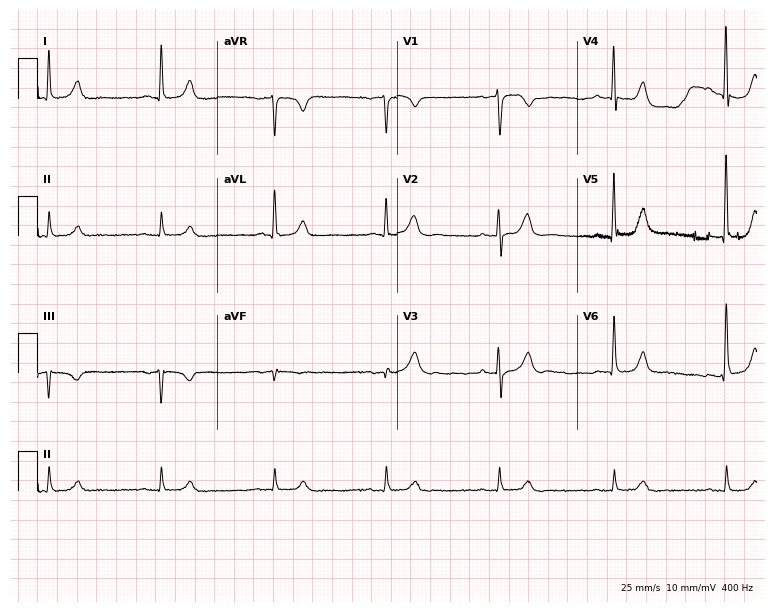
Resting 12-lead electrocardiogram. Patient: an 85-year-old man. Read as a normal ECG.